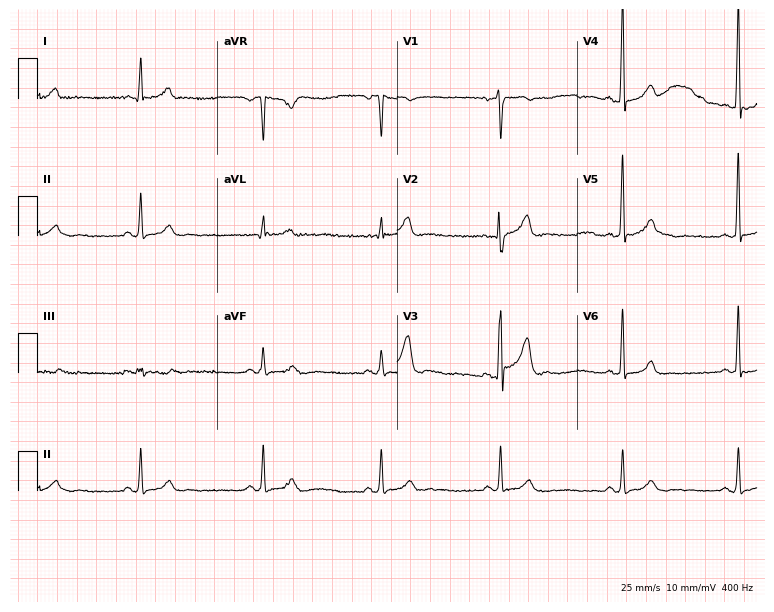
Electrocardiogram, a man, 49 years old. Overall reading on record: normal ECG.